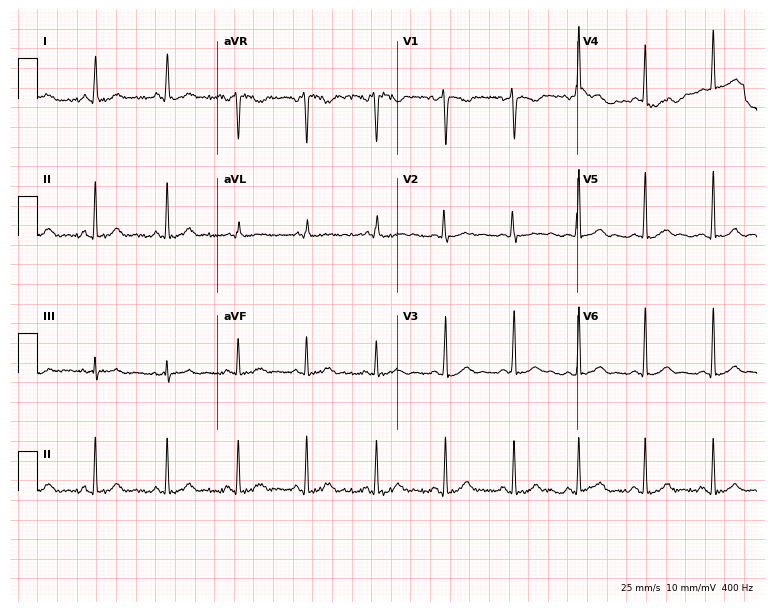
12-lead ECG (7.3-second recording at 400 Hz) from a female, 18 years old. Screened for six findings — first-degree AV block, right bundle branch block, left bundle branch block, sinus bradycardia, atrial fibrillation, sinus tachycardia — none is recorded.